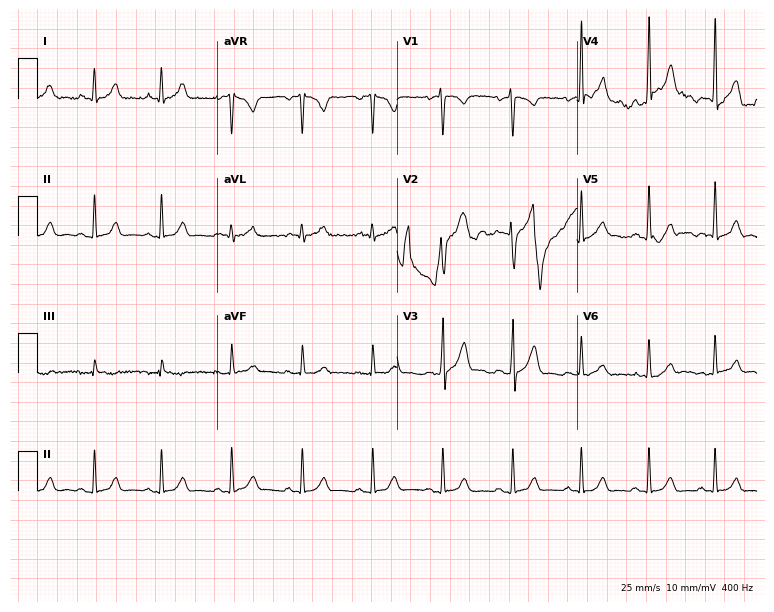
ECG (7.3-second recording at 400 Hz) — a 26-year-old male patient. Labelled as a normal ECG.